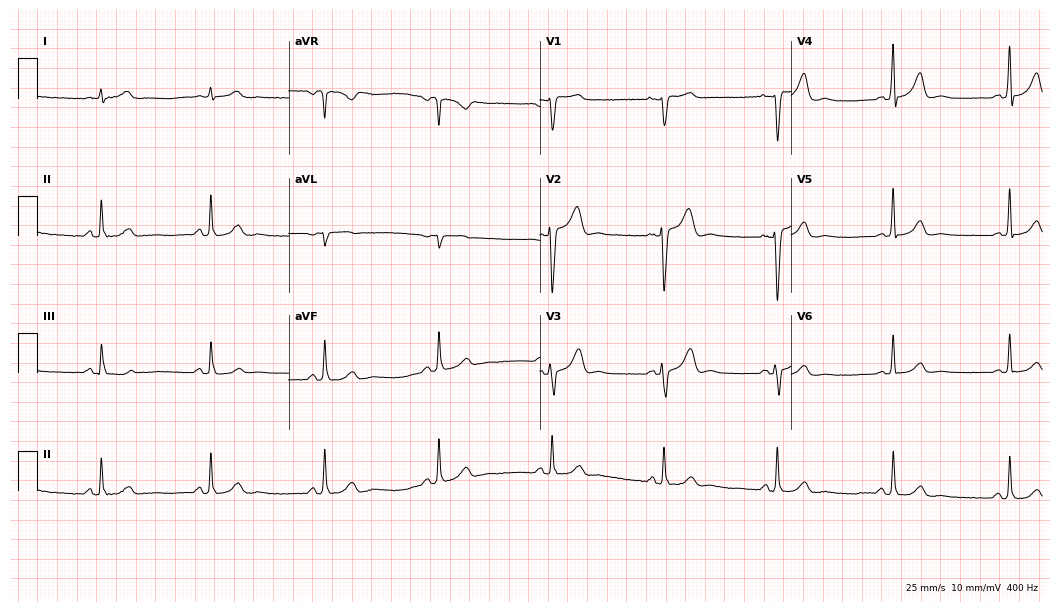
Standard 12-lead ECG recorded from a man, 61 years old. Read as a normal ECG.